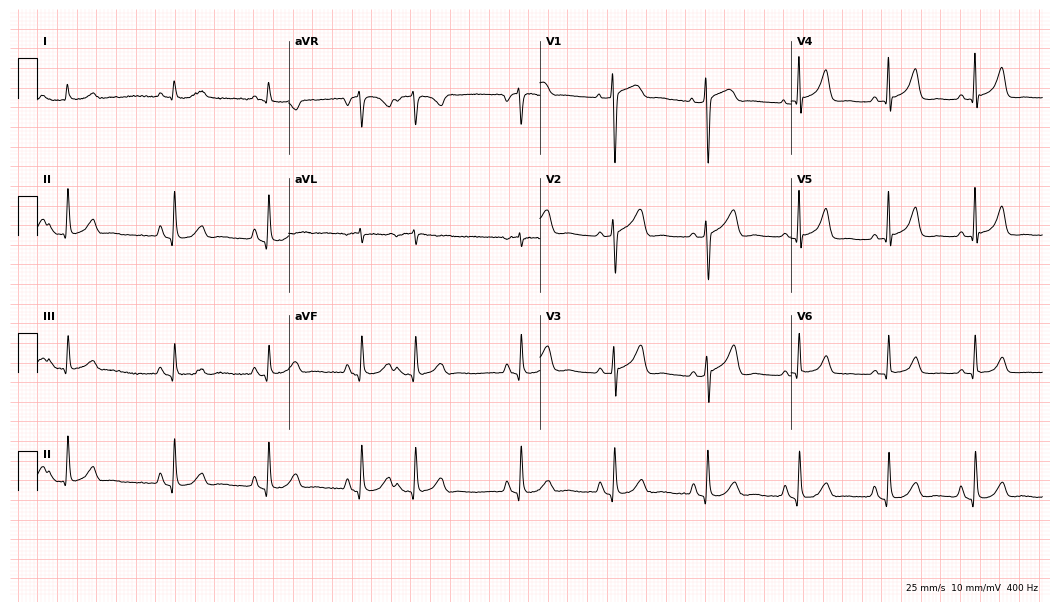
Resting 12-lead electrocardiogram. Patient: a 67-year-old male. Read as a normal ECG.